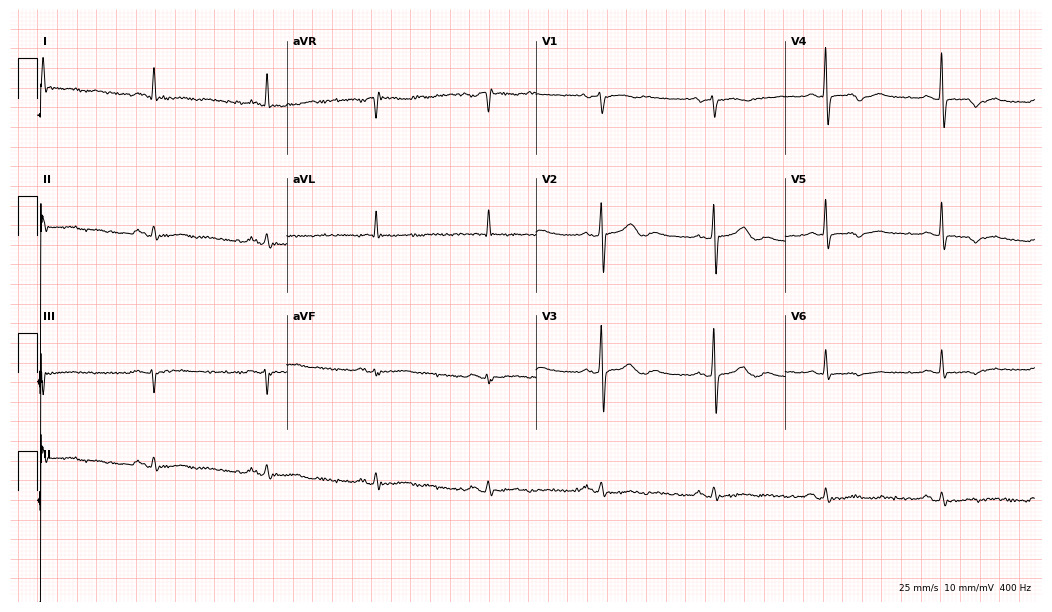
Resting 12-lead electrocardiogram. Patient: a 77-year-old male. None of these six findings is recorded: first-degree AV block, right bundle branch block, left bundle branch block, sinus bradycardia, atrial fibrillation, sinus tachycardia.